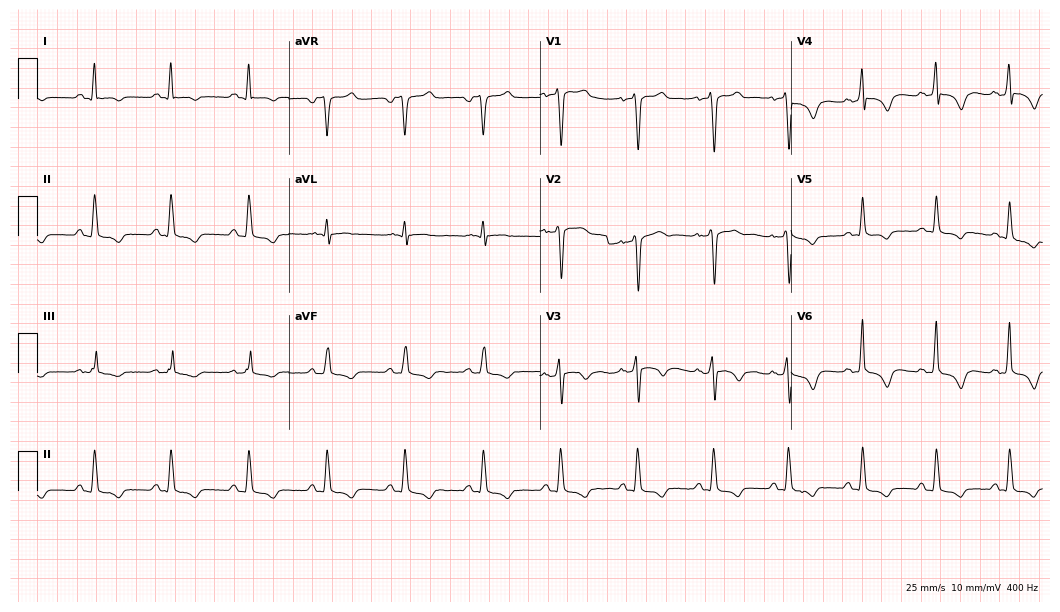
Standard 12-lead ECG recorded from a male patient, 56 years old. None of these six findings is recorded: first-degree AV block, right bundle branch block, left bundle branch block, sinus bradycardia, atrial fibrillation, sinus tachycardia.